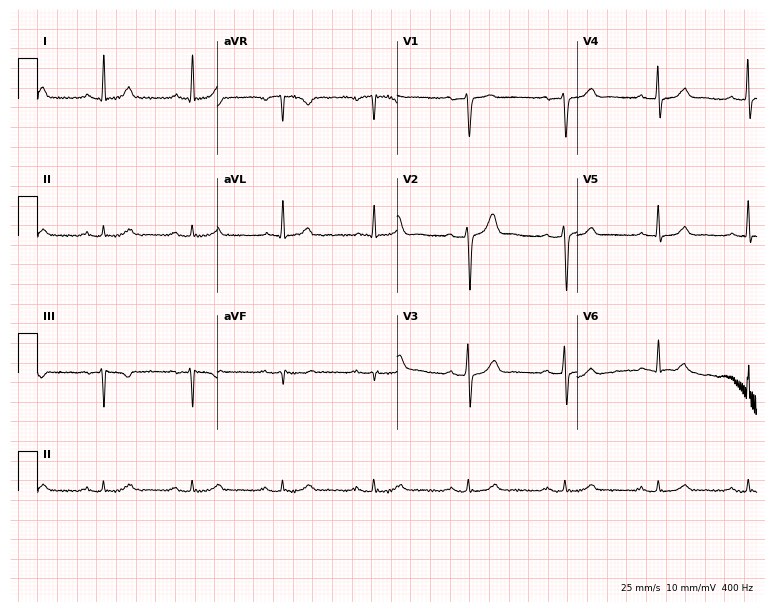
Resting 12-lead electrocardiogram (7.3-second recording at 400 Hz). Patient: a male, 51 years old. Read as a normal ECG.